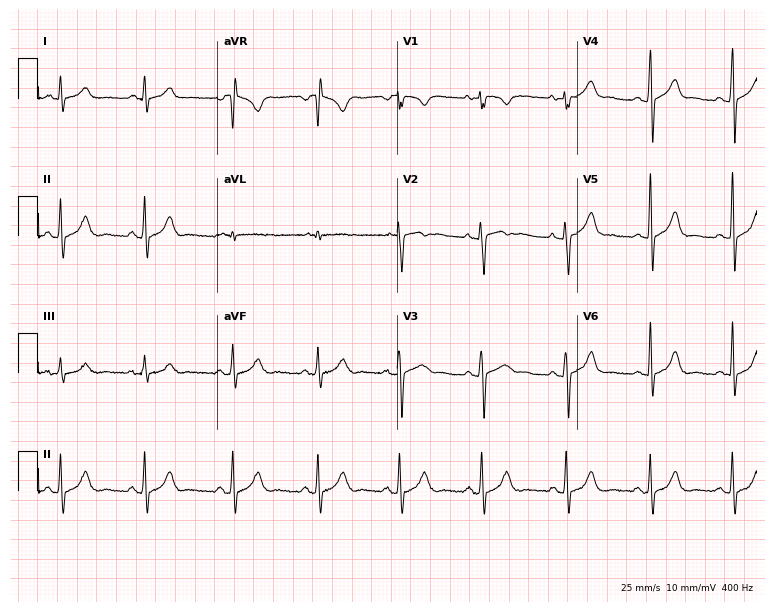
Resting 12-lead electrocardiogram (7.3-second recording at 400 Hz). Patient: a female, 32 years old. Read as a normal ECG.